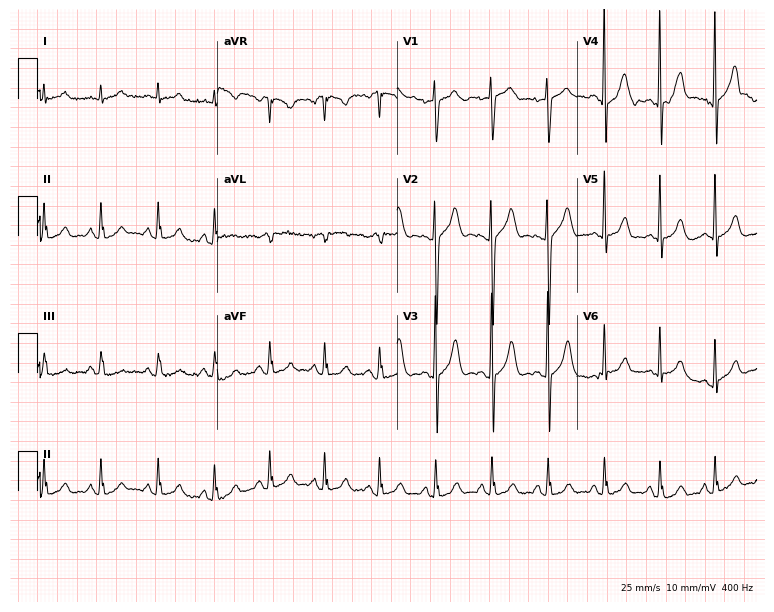
Standard 12-lead ECG recorded from a 61-year-old female patient (7.3-second recording at 400 Hz). The tracing shows sinus tachycardia (a sinus rate of 100 beats per minute or more).